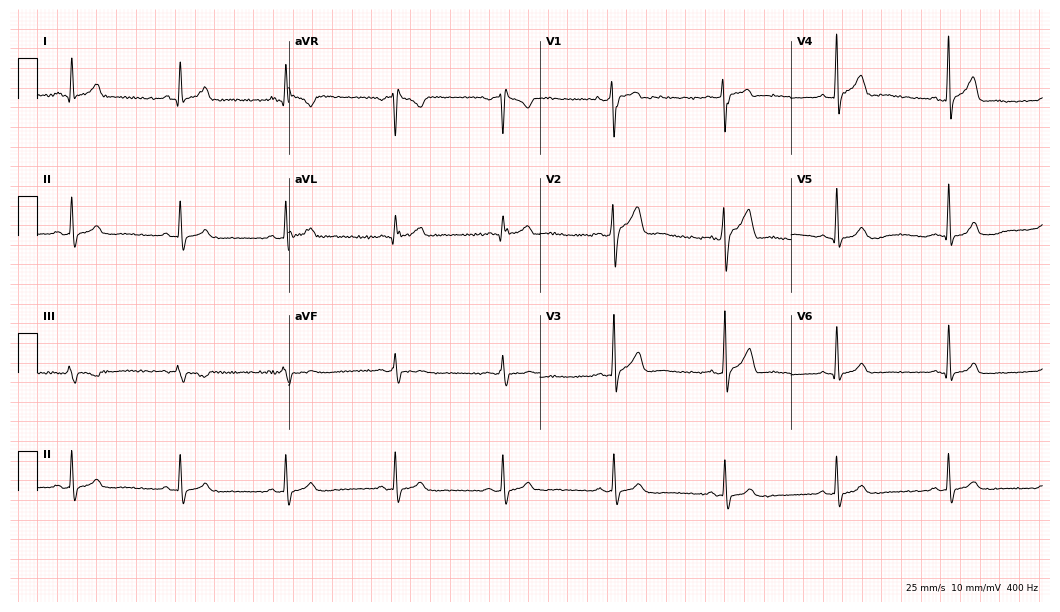
ECG — a 31-year-old man. Screened for six findings — first-degree AV block, right bundle branch block, left bundle branch block, sinus bradycardia, atrial fibrillation, sinus tachycardia — none is recorded.